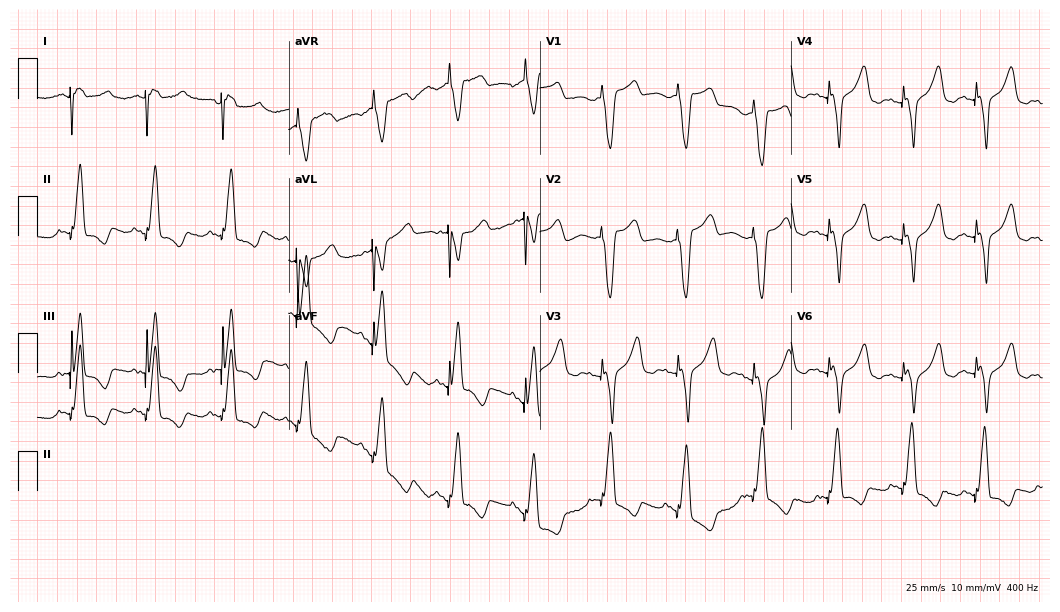
Standard 12-lead ECG recorded from a female patient, 84 years old. None of these six findings is recorded: first-degree AV block, right bundle branch block, left bundle branch block, sinus bradycardia, atrial fibrillation, sinus tachycardia.